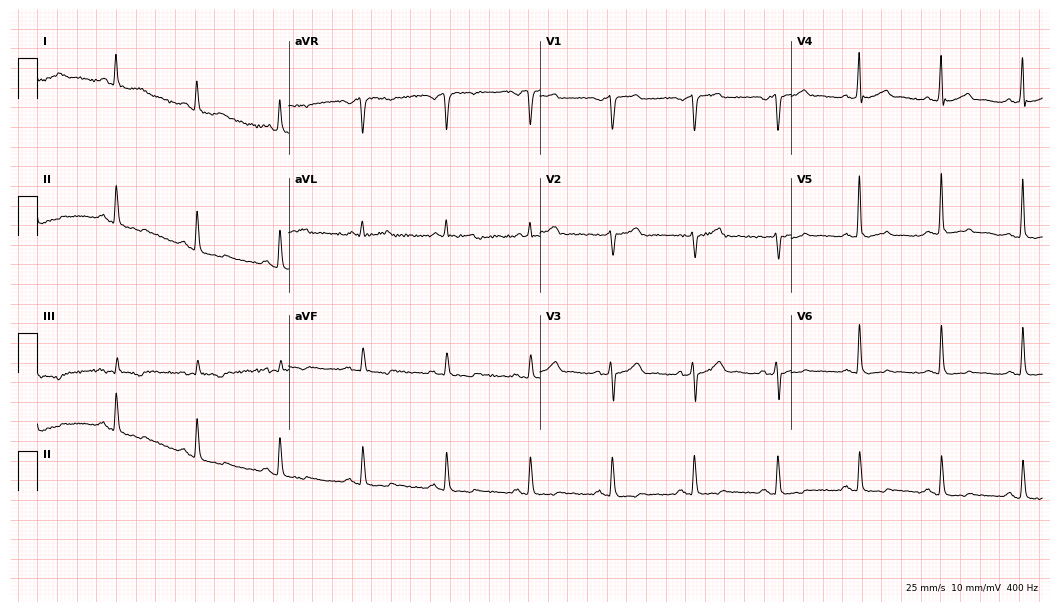
12-lead ECG (10.2-second recording at 400 Hz) from a 62-year-old male. Screened for six findings — first-degree AV block, right bundle branch block, left bundle branch block, sinus bradycardia, atrial fibrillation, sinus tachycardia — none is recorded.